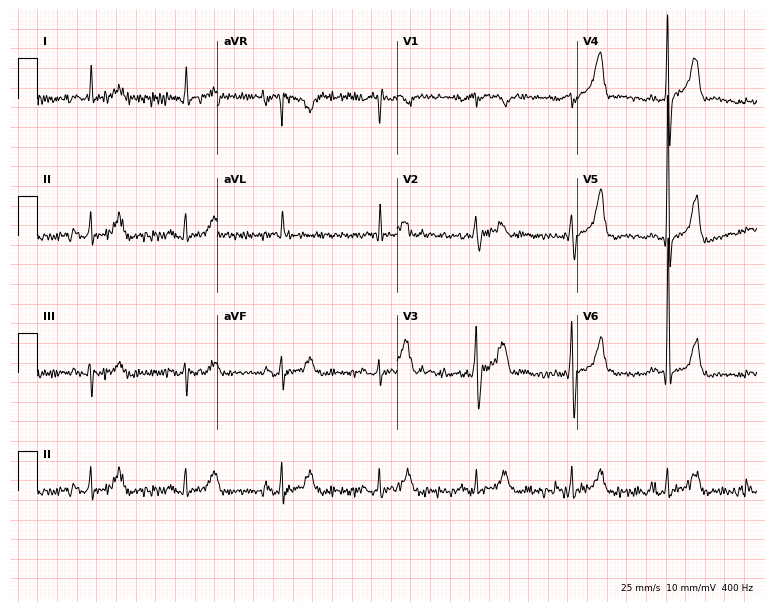
ECG — a male patient, 80 years old. Screened for six findings — first-degree AV block, right bundle branch block, left bundle branch block, sinus bradycardia, atrial fibrillation, sinus tachycardia — none is recorded. Findings outside these six are not listed.